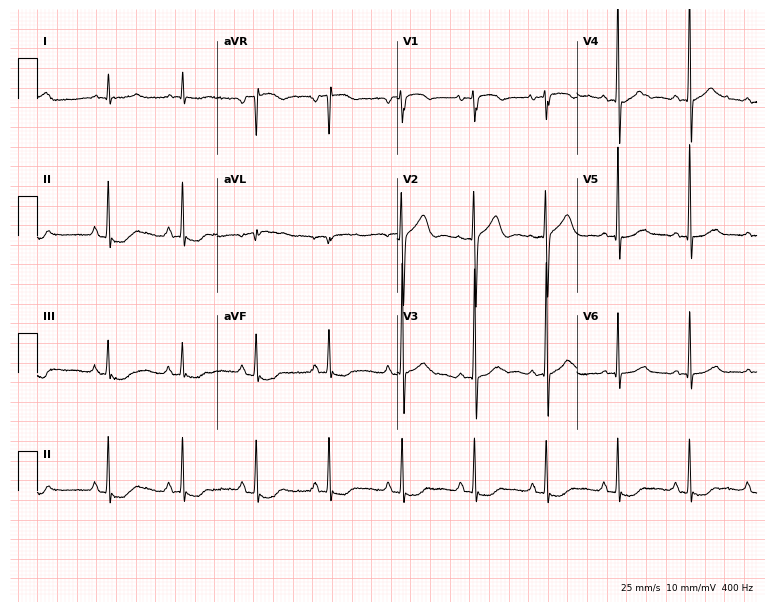
Electrocardiogram, a man, 74 years old. Of the six screened findings (first-degree AV block, right bundle branch block (RBBB), left bundle branch block (LBBB), sinus bradycardia, atrial fibrillation (AF), sinus tachycardia), none is recorded.